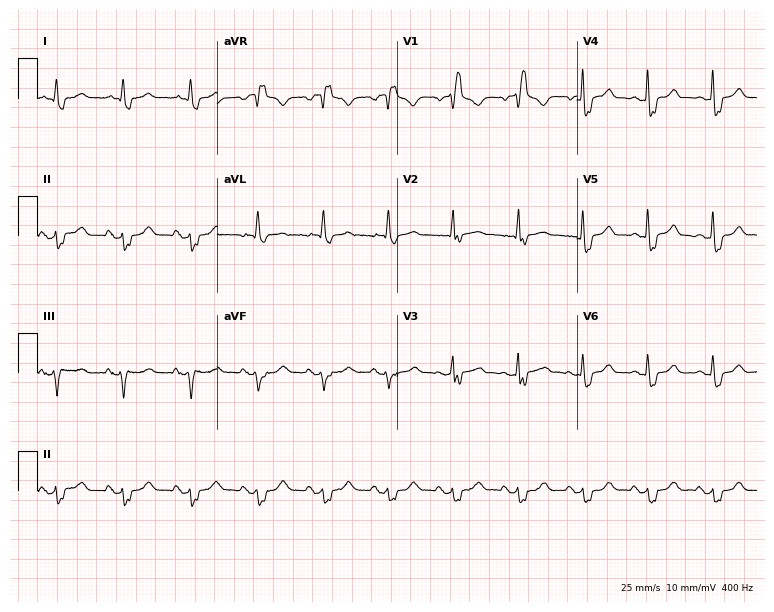
Electrocardiogram, a 68-year-old man. Interpretation includes right bundle branch block.